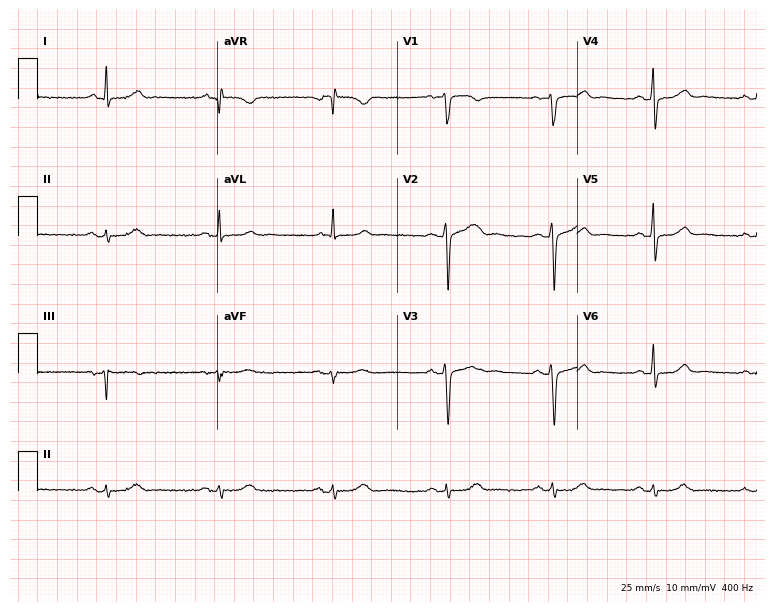
ECG (7.3-second recording at 400 Hz) — a 48-year-old male patient. Screened for six findings — first-degree AV block, right bundle branch block (RBBB), left bundle branch block (LBBB), sinus bradycardia, atrial fibrillation (AF), sinus tachycardia — none is recorded.